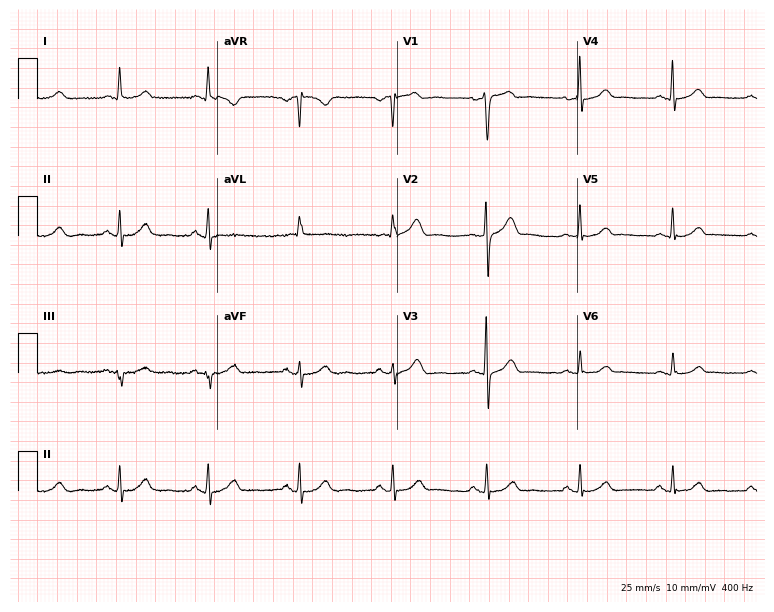
ECG (7.3-second recording at 400 Hz) — a woman, 64 years old. Labelled as a normal ECG.